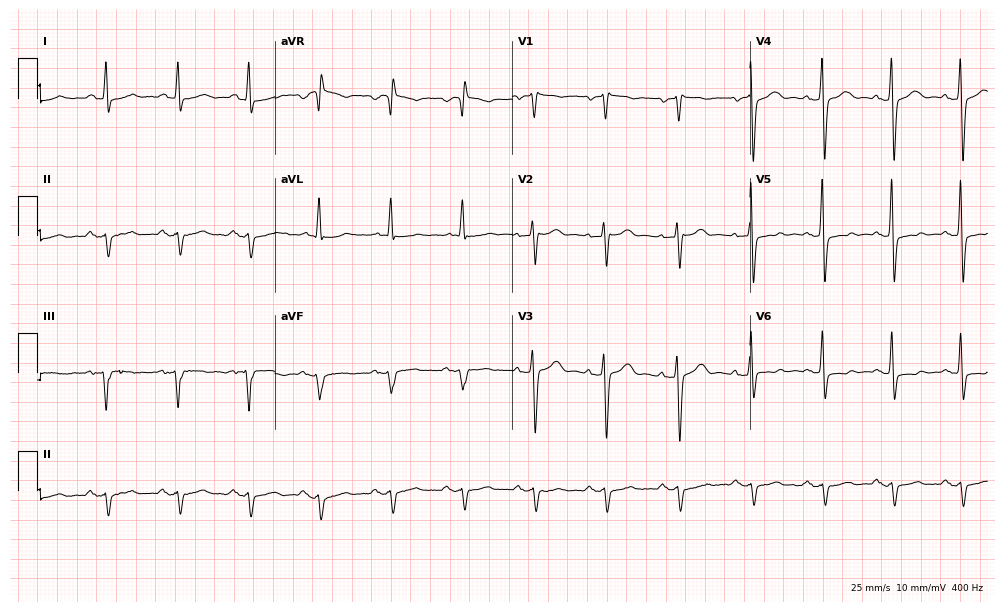
Electrocardiogram (9.7-second recording at 400 Hz), a 63-year-old male. Of the six screened findings (first-degree AV block, right bundle branch block (RBBB), left bundle branch block (LBBB), sinus bradycardia, atrial fibrillation (AF), sinus tachycardia), none is recorded.